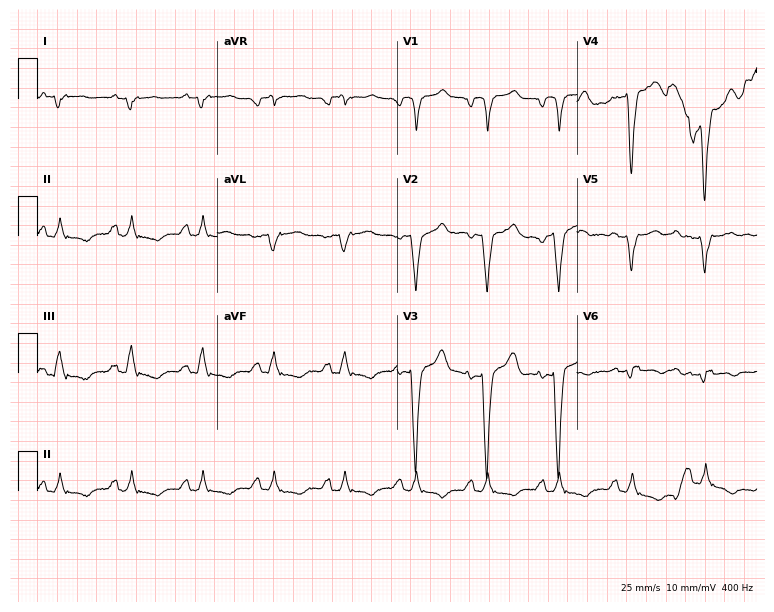
Resting 12-lead electrocardiogram. Patient: a male, 61 years old. None of these six findings is recorded: first-degree AV block, right bundle branch block, left bundle branch block, sinus bradycardia, atrial fibrillation, sinus tachycardia.